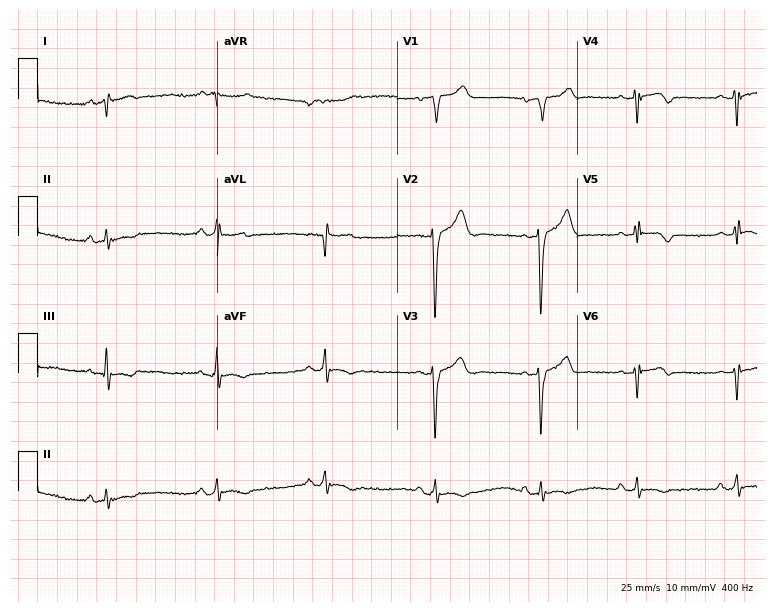
ECG — a 39-year-old male. Screened for six findings — first-degree AV block, right bundle branch block, left bundle branch block, sinus bradycardia, atrial fibrillation, sinus tachycardia — none is recorded. Findings outside these six are not listed.